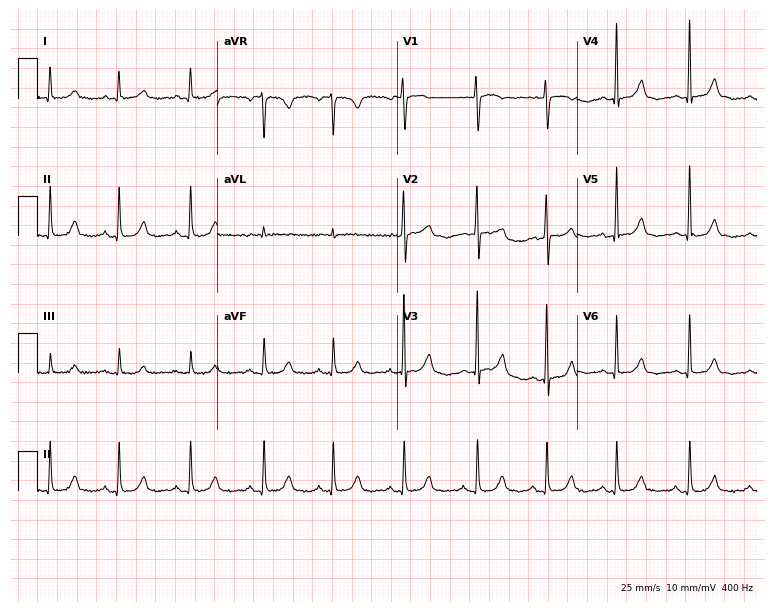
ECG — a 72-year-old female. Screened for six findings — first-degree AV block, right bundle branch block, left bundle branch block, sinus bradycardia, atrial fibrillation, sinus tachycardia — none is recorded. Findings outside these six are not listed.